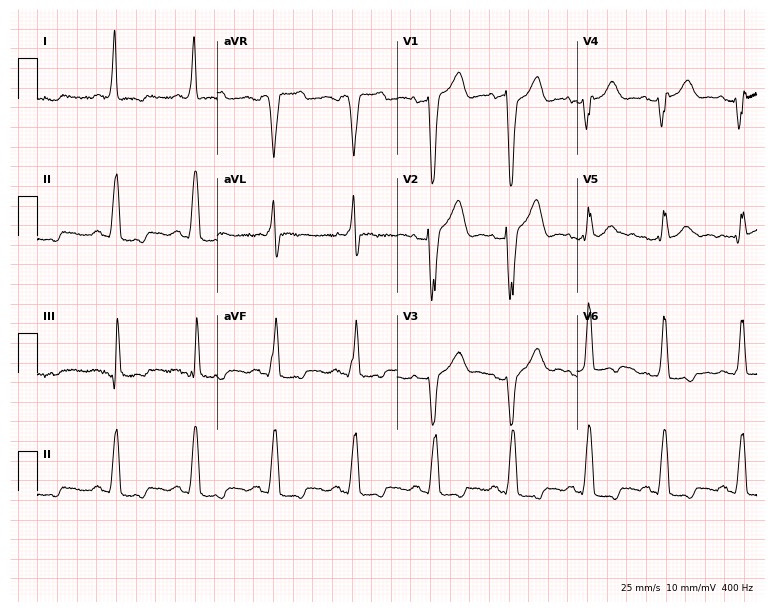
12-lead ECG from a woman, 80 years old. Shows left bundle branch block.